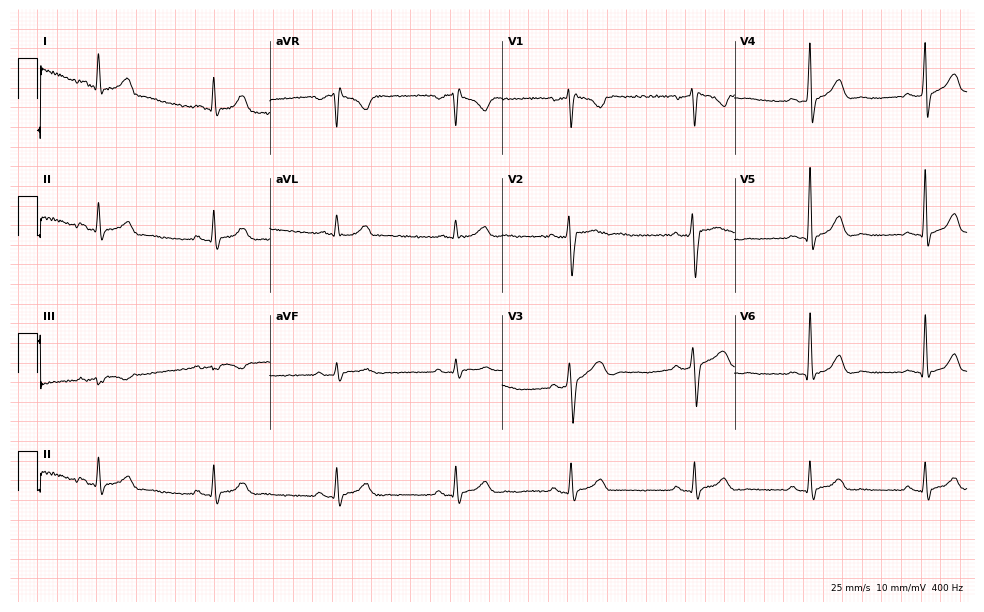
Electrocardiogram, a man, 52 years old. Of the six screened findings (first-degree AV block, right bundle branch block, left bundle branch block, sinus bradycardia, atrial fibrillation, sinus tachycardia), none is recorded. Findings outside these six are not listed.